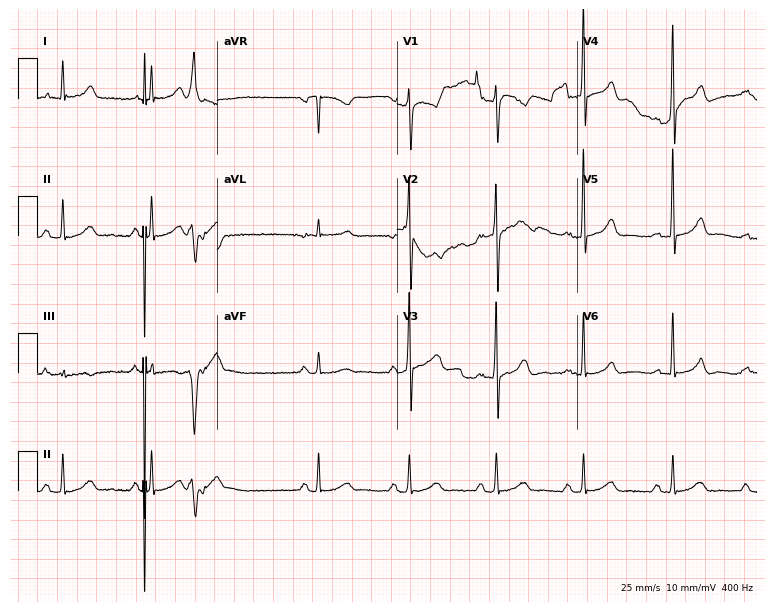
Resting 12-lead electrocardiogram. Patient: a man, 79 years old. Read as a normal ECG.